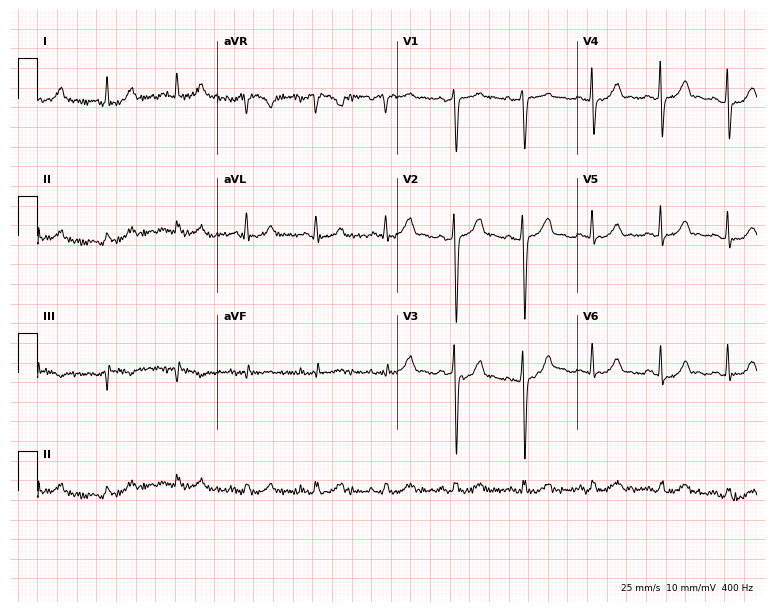
12-lead ECG from a 42-year-old female patient (7.3-second recording at 400 Hz). No first-degree AV block, right bundle branch block (RBBB), left bundle branch block (LBBB), sinus bradycardia, atrial fibrillation (AF) or sinus tachycardia recorded for this tracing. Other findings, if any, are not listed.